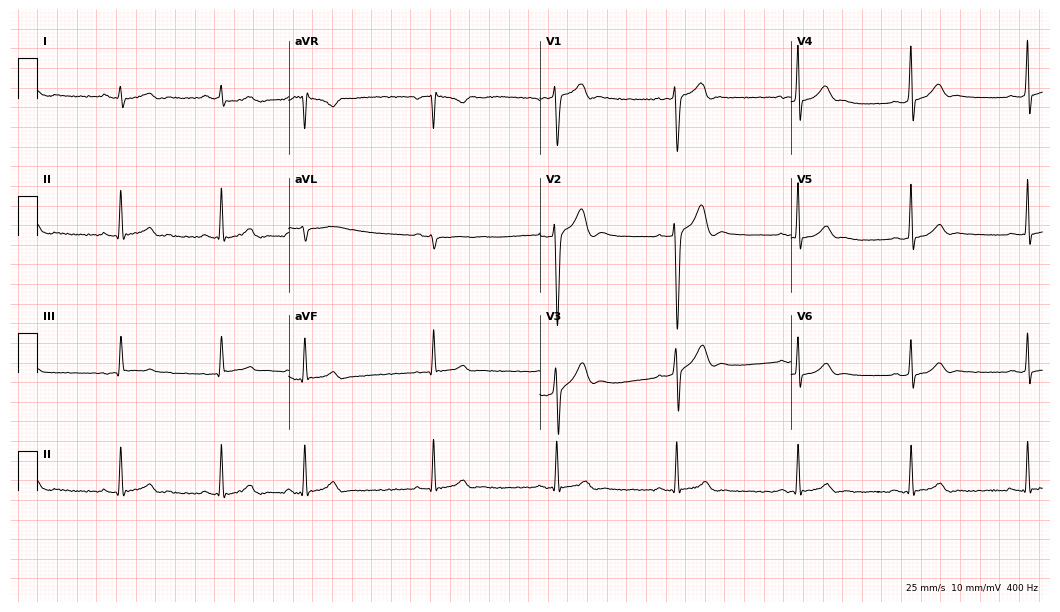
Resting 12-lead electrocardiogram (10.2-second recording at 400 Hz). Patient: a male, 20 years old. None of these six findings is recorded: first-degree AV block, right bundle branch block, left bundle branch block, sinus bradycardia, atrial fibrillation, sinus tachycardia.